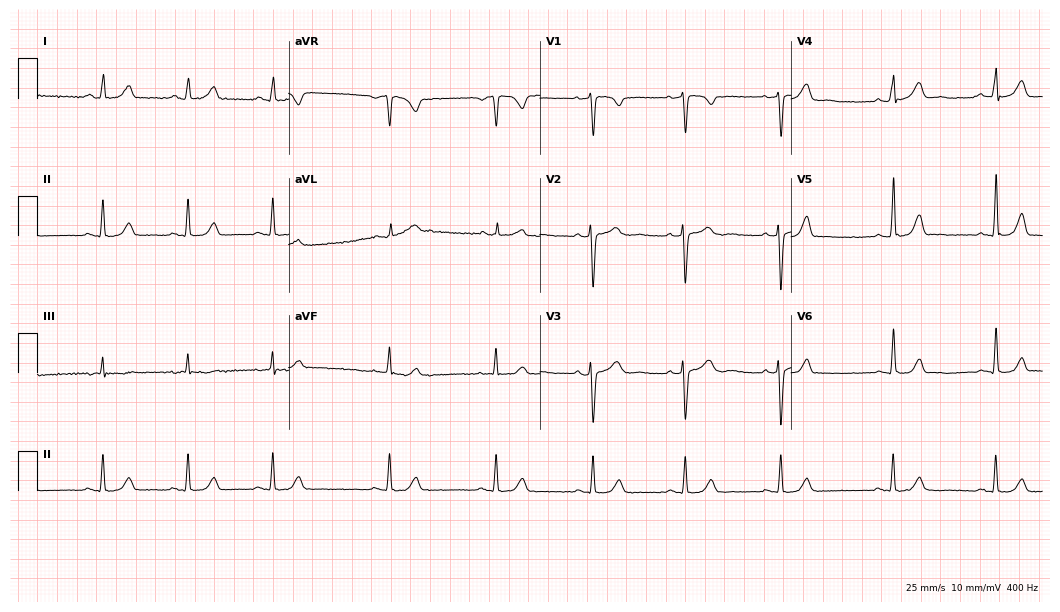
Electrocardiogram, a 24-year-old female patient. Overall reading on record: normal ECG.